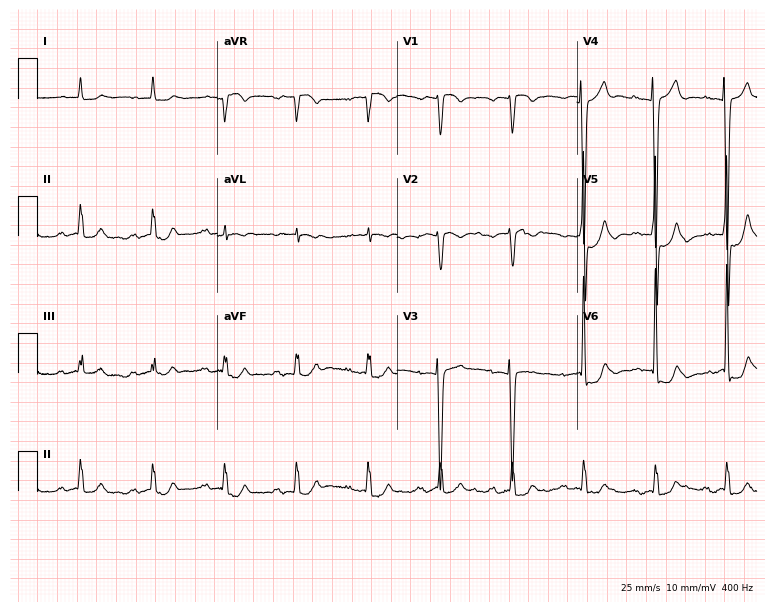
Electrocardiogram (7.3-second recording at 400 Hz), a man, 80 years old. Of the six screened findings (first-degree AV block, right bundle branch block, left bundle branch block, sinus bradycardia, atrial fibrillation, sinus tachycardia), none is recorded. Other findings, if any, are not listed.